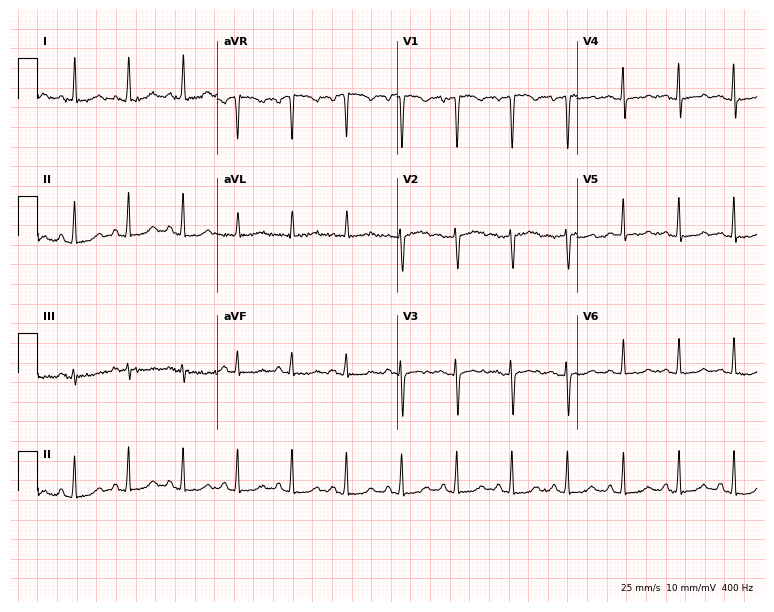
Electrocardiogram (7.3-second recording at 400 Hz), a female, 41 years old. Interpretation includes sinus tachycardia (a sinus rate of 100 beats per minute or more).